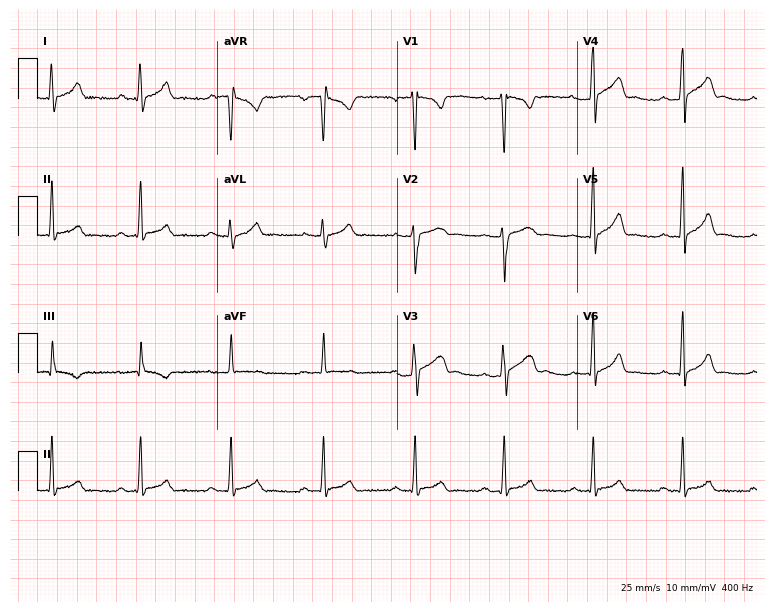
12-lead ECG from a male, 19 years old. Recorded interpretation: within normal limits.